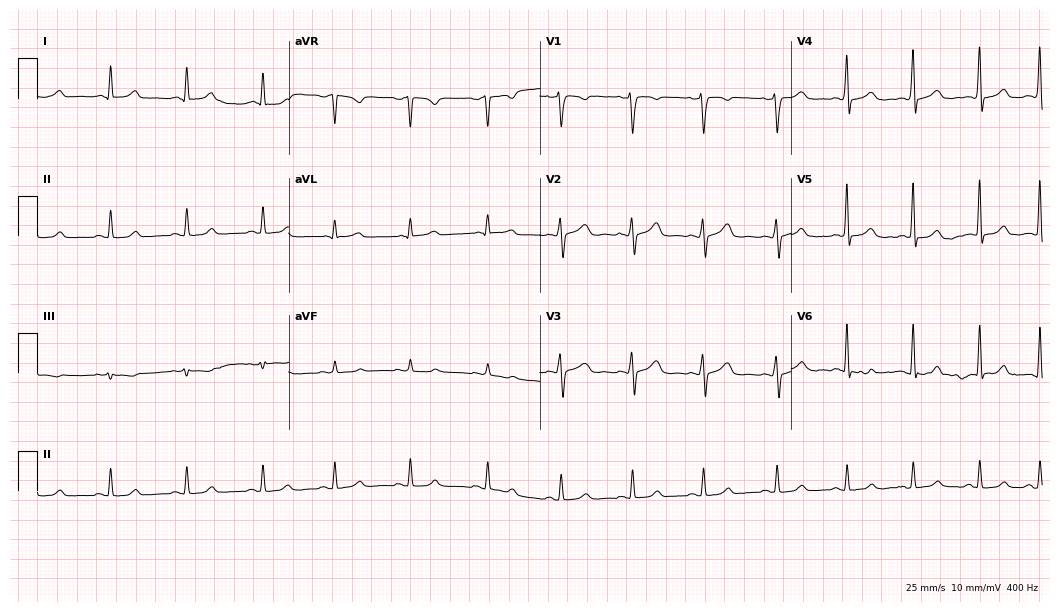
Standard 12-lead ECG recorded from a 34-year-old woman. Read as a normal ECG.